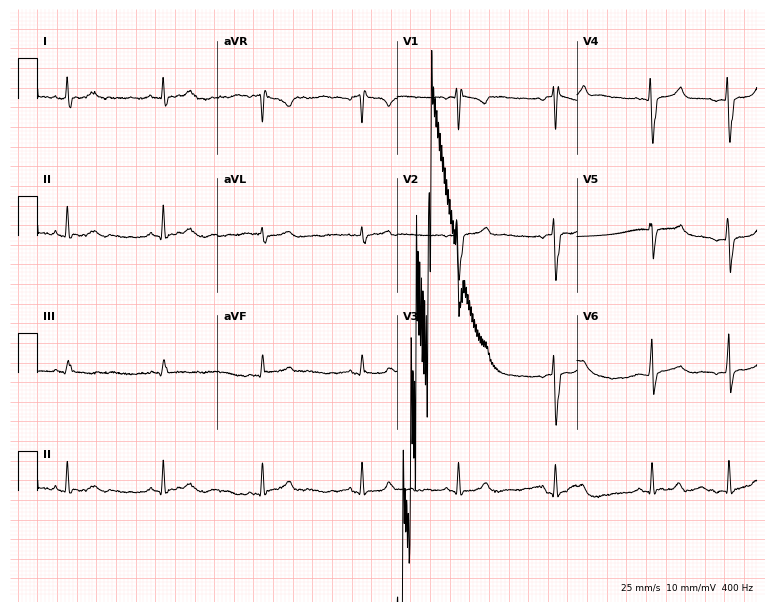
12-lead ECG from a male, 35 years old (7.3-second recording at 400 Hz). No first-degree AV block, right bundle branch block, left bundle branch block, sinus bradycardia, atrial fibrillation or sinus tachycardia recorded for this tracing. Other findings, if any, are not listed.